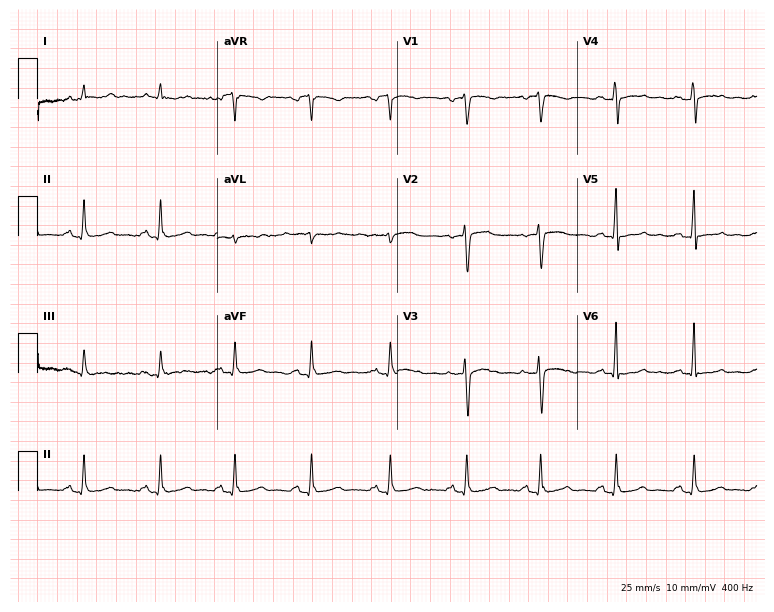
Electrocardiogram (7.3-second recording at 400 Hz), a 52-year-old woman. Of the six screened findings (first-degree AV block, right bundle branch block, left bundle branch block, sinus bradycardia, atrial fibrillation, sinus tachycardia), none is recorded. Only these six findings were labelled.